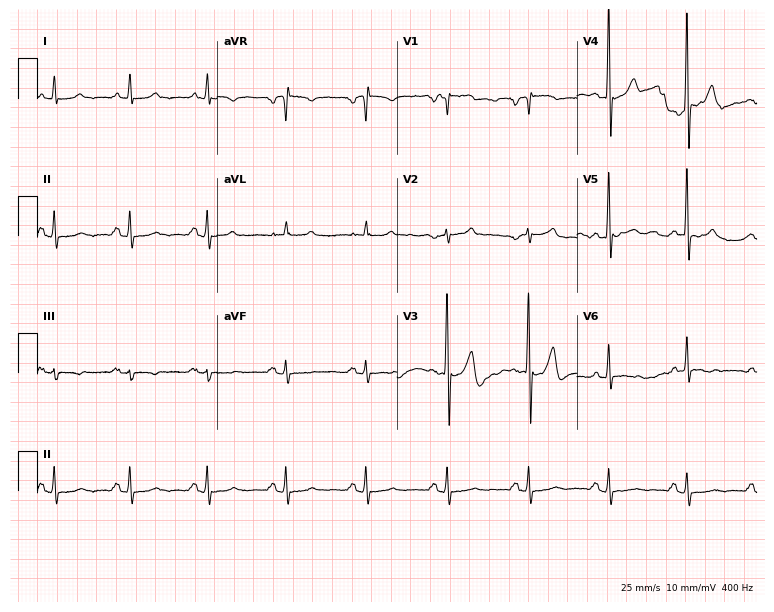
Standard 12-lead ECG recorded from a male, 63 years old. None of these six findings is recorded: first-degree AV block, right bundle branch block, left bundle branch block, sinus bradycardia, atrial fibrillation, sinus tachycardia. Other findings, if any, are not listed.